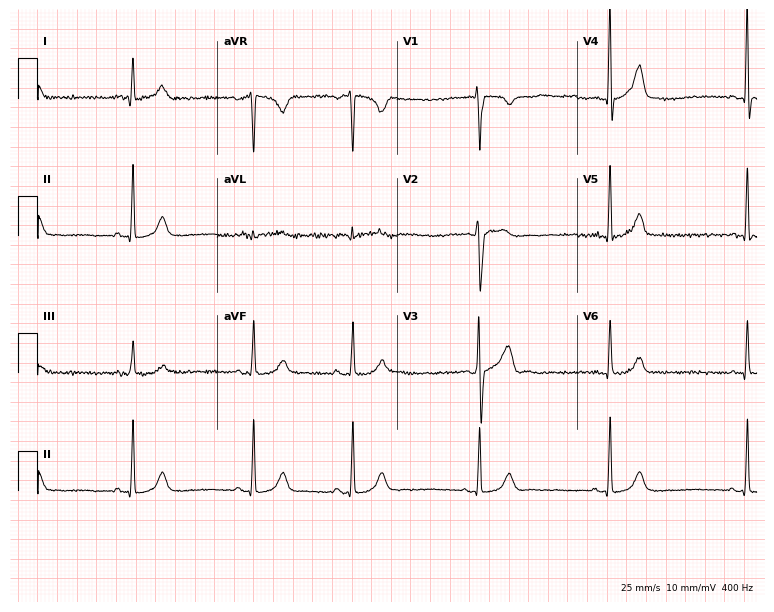
Resting 12-lead electrocardiogram. Patient: a 25-year-old man. Read as a normal ECG.